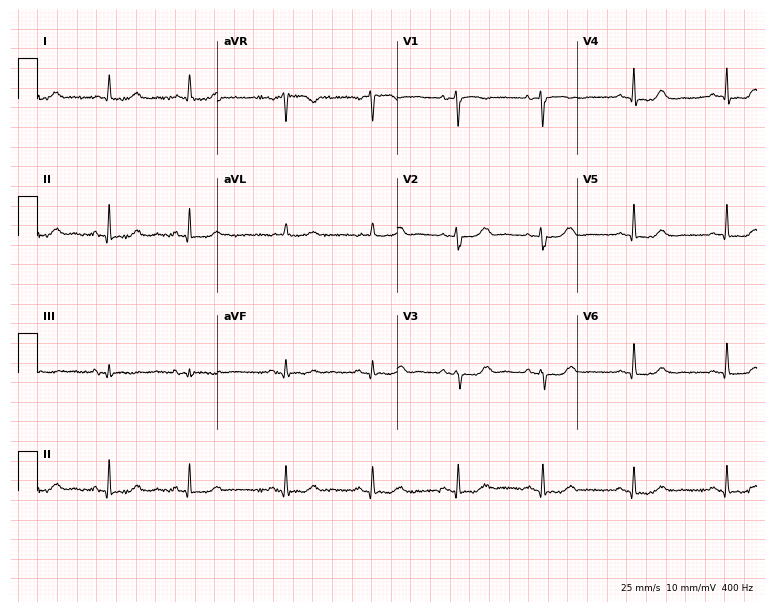
Standard 12-lead ECG recorded from a 59-year-old female. Read as a normal ECG.